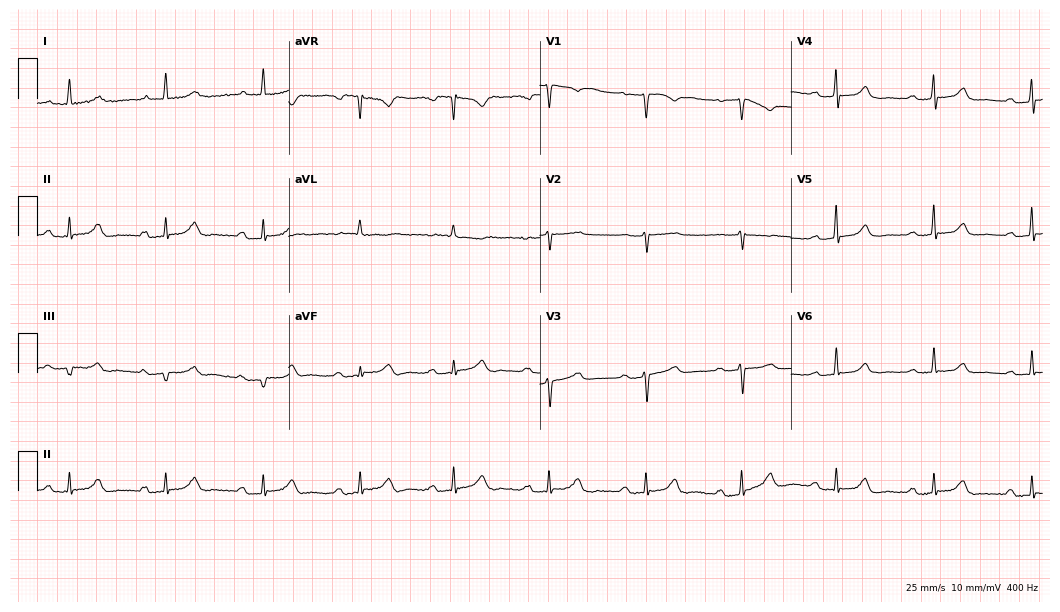
Resting 12-lead electrocardiogram (10.2-second recording at 400 Hz). Patient: a 71-year-old female. The tracing shows first-degree AV block.